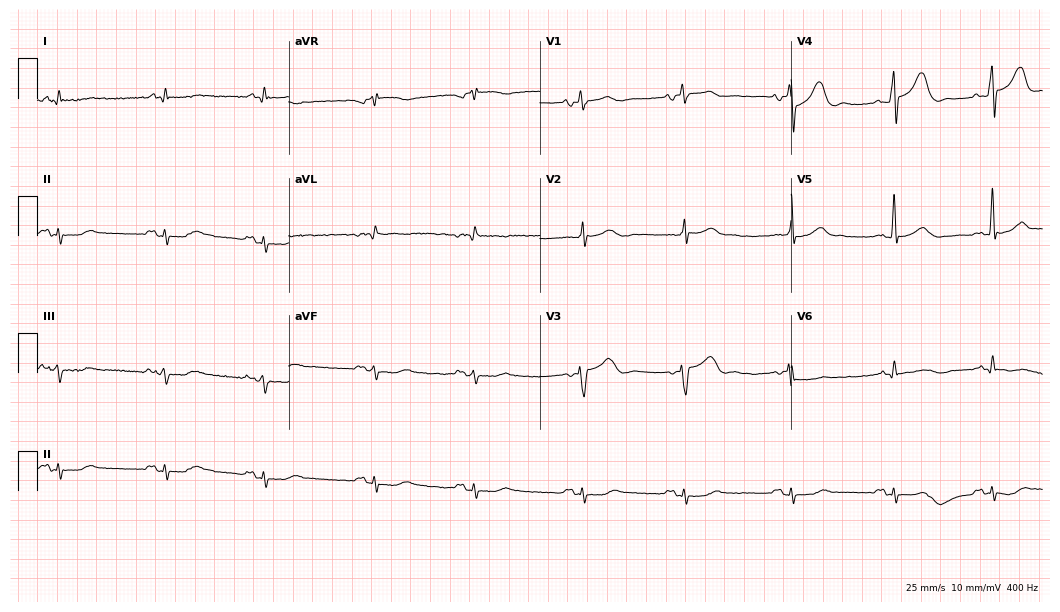
ECG — a male, 67 years old. Labelled as a normal ECG.